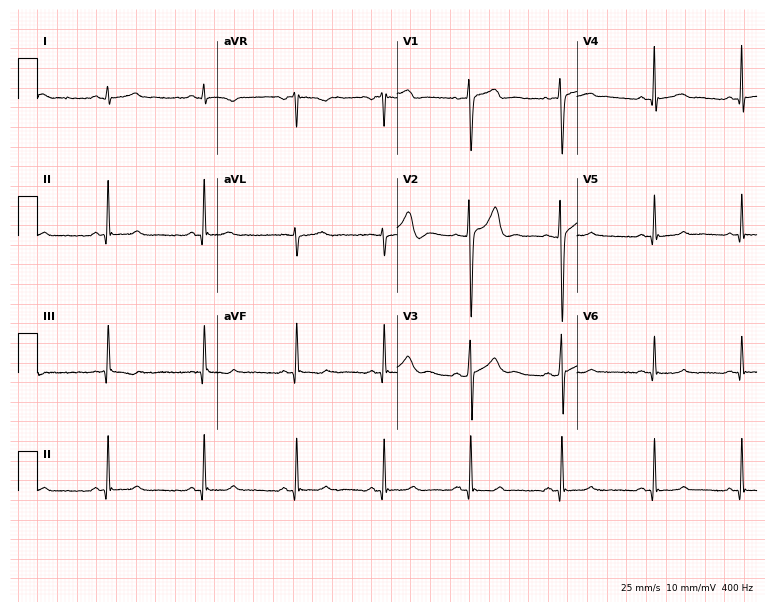
Electrocardiogram (7.3-second recording at 400 Hz), a 21-year-old male. Of the six screened findings (first-degree AV block, right bundle branch block, left bundle branch block, sinus bradycardia, atrial fibrillation, sinus tachycardia), none is recorded. Only these six findings were labelled.